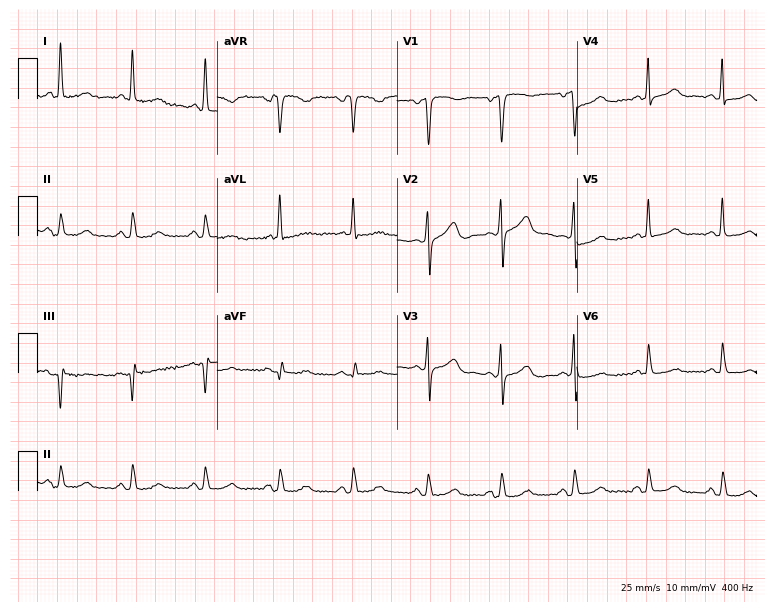
ECG (7.3-second recording at 400 Hz) — a 70-year-old female. Screened for six findings — first-degree AV block, right bundle branch block, left bundle branch block, sinus bradycardia, atrial fibrillation, sinus tachycardia — none is recorded.